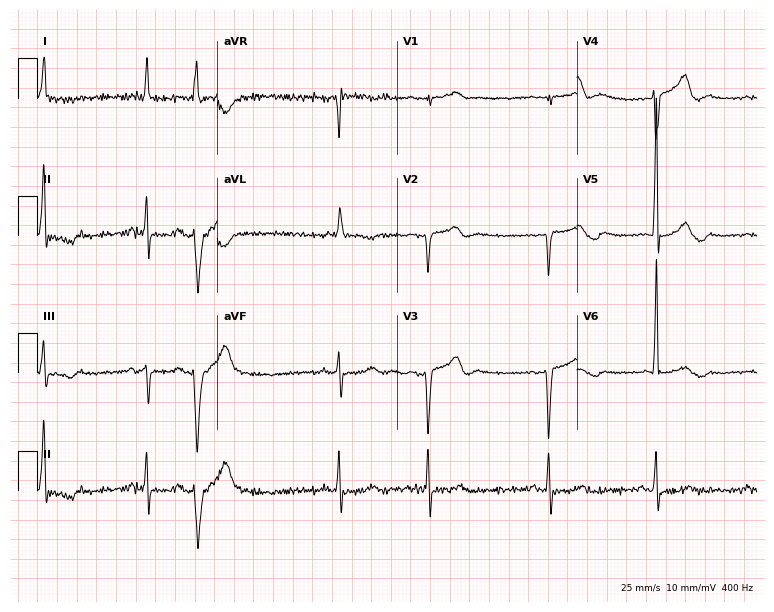
12-lead ECG from a male, 82 years old. No first-degree AV block, right bundle branch block (RBBB), left bundle branch block (LBBB), sinus bradycardia, atrial fibrillation (AF) or sinus tachycardia recorded for this tracing.